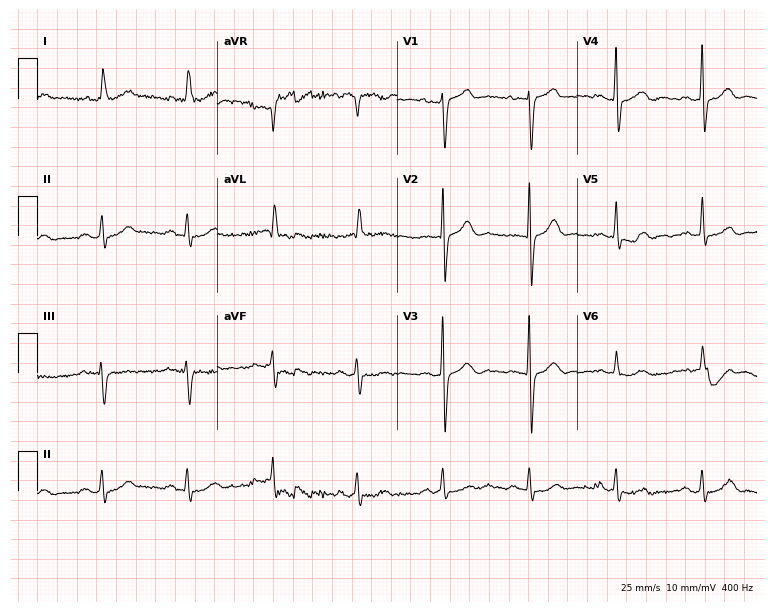
Electrocardiogram, an 85-year-old male. Of the six screened findings (first-degree AV block, right bundle branch block, left bundle branch block, sinus bradycardia, atrial fibrillation, sinus tachycardia), none is recorded. Only these six findings were labelled.